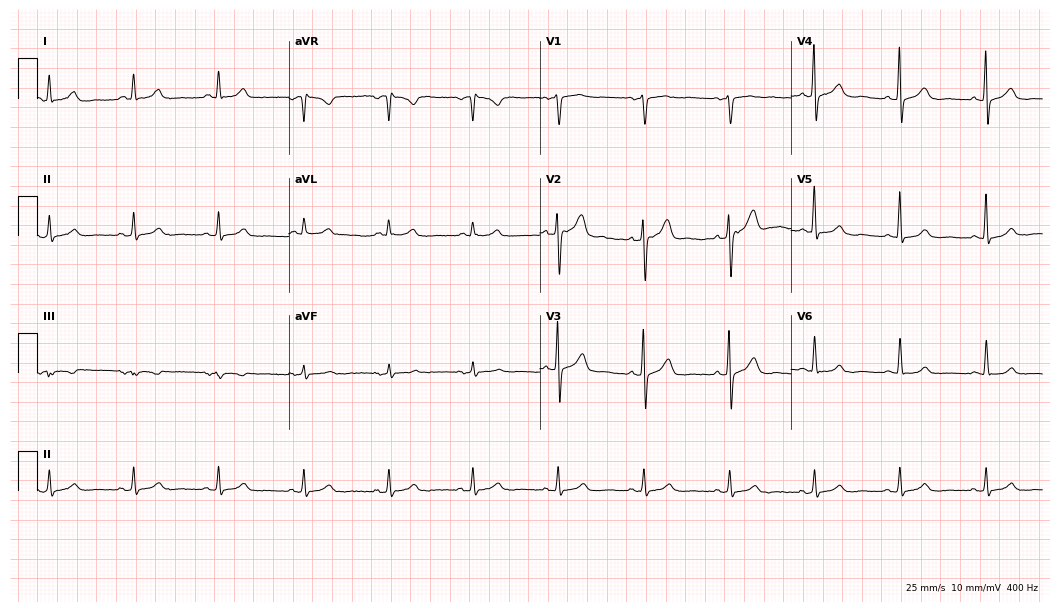
ECG (10.2-second recording at 400 Hz) — a male, 71 years old. Screened for six findings — first-degree AV block, right bundle branch block, left bundle branch block, sinus bradycardia, atrial fibrillation, sinus tachycardia — none is recorded. Other findings, if any, are not listed.